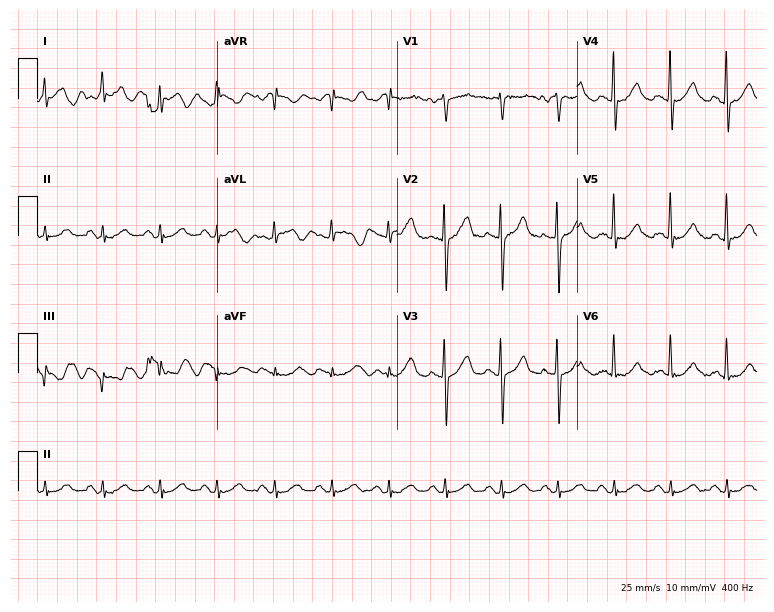
Standard 12-lead ECG recorded from a 55-year-old man (7.3-second recording at 400 Hz). None of these six findings is recorded: first-degree AV block, right bundle branch block, left bundle branch block, sinus bradycardia, atrial fibrillation, sinus tachycardia. Other findings, if any, are not listed.